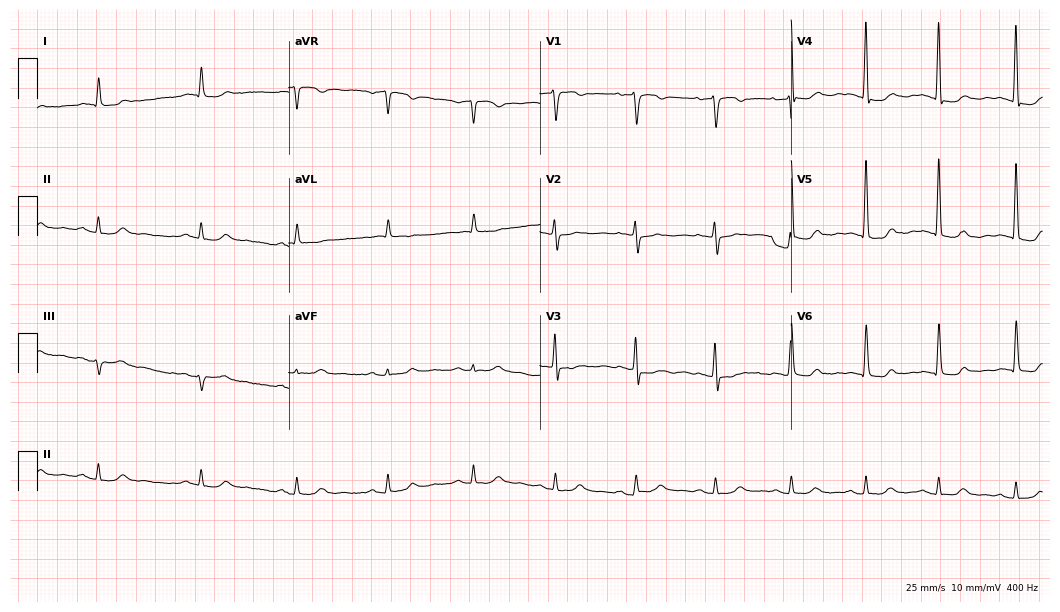
Standard 12-lead ECG recorded from a 74-year-old male patient. None of these six findings is recorded: first-degree AV block, right bundle branch block, left bundle branch block, sinus bradycardia, atrial fibrillation, sinus tachycardia. Only these six findings were labelled.